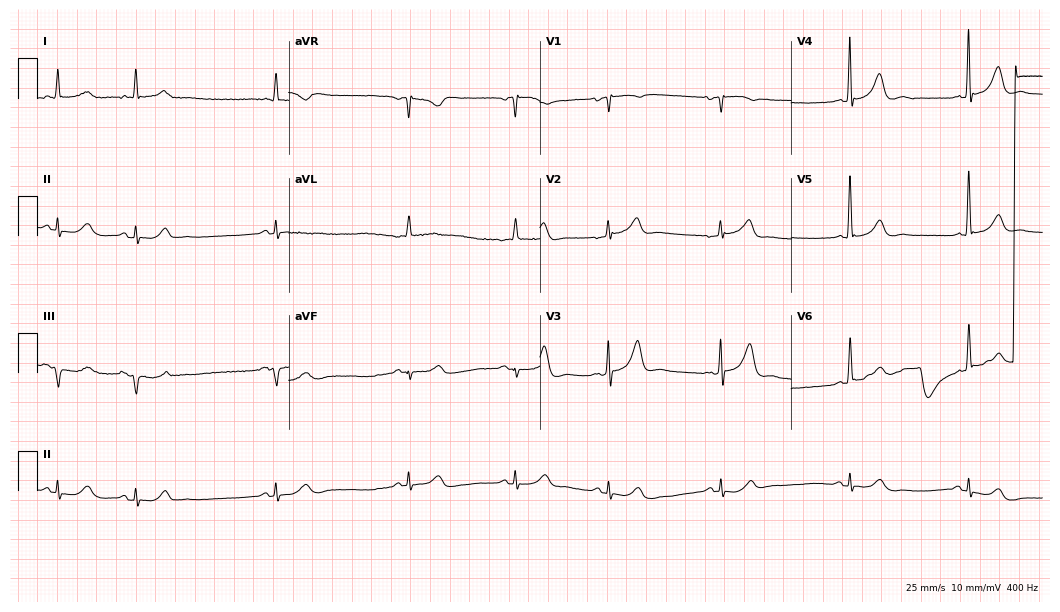
ECG — a male patient, 79 years old. Screened for six findings — first-degree AV block, right bundle branch block, left bundle branch block, sinus bradycardia, atrial fibrillation, sinus tachycardia — none is recorded.